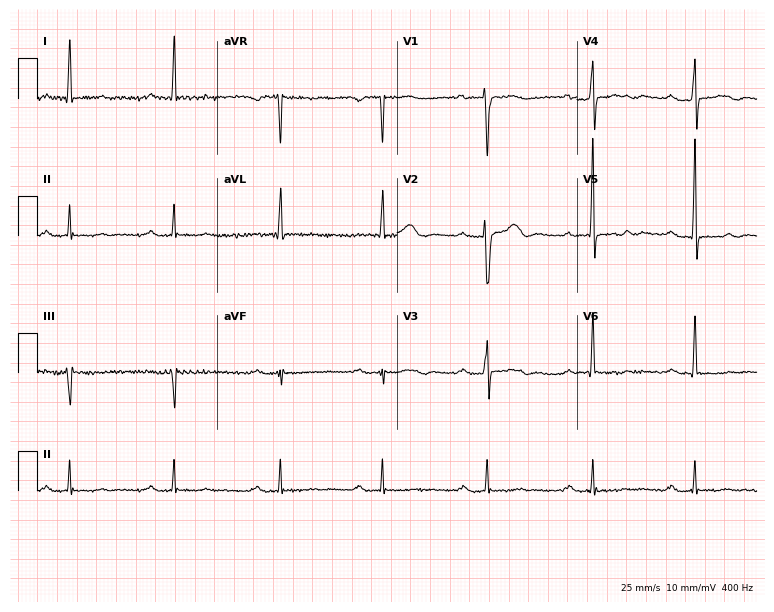
Resting 12-lead electrocardiogram (7.3-second recording at 400 Hz). Patient: a 72-year-old male. None of these six findings is recorded: first-degree AV block, right bundle branch block, left bundle branch block, sinus bradycardia, atrial fibrillation, sinus tachycardia. Findings outside these six are not listed.